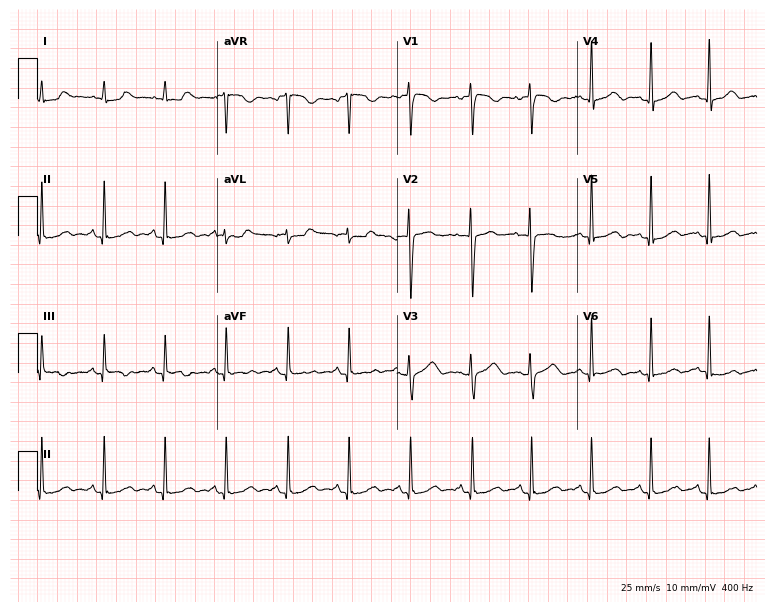
Standard 12-lead ECG recorded from a 37-year-old female patient. None of these six findings is recorded: first-degree AV block, right bundle branch block, left bundle branch block, sinus bradycardia, atrial fibrillation, sinus tachycardia. Other findings, if any, are not listed.